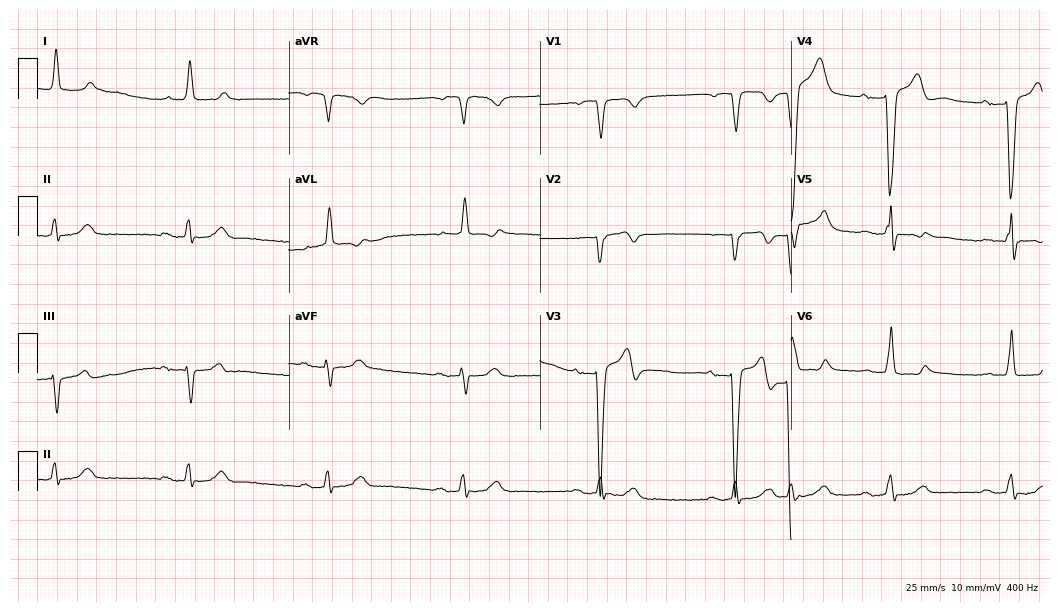
Resting 12-lead electrocardiogram. Patient: a male, 73 years old. The tracing shows first-degree AV block, sinus bradycardia (a sinus rate of 50 beats per minute or less).